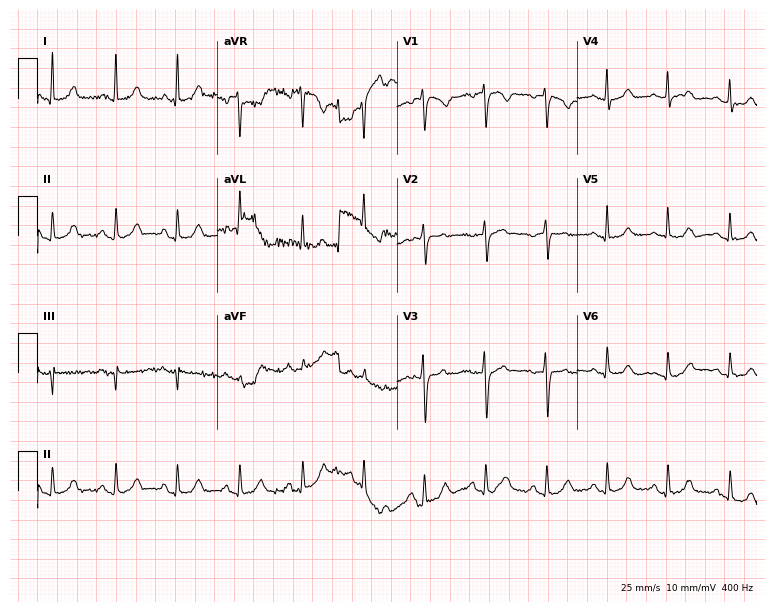
Resting 12-lead electrocardiogram. Patient: a female, 40 years old. Read as a normal ECG.